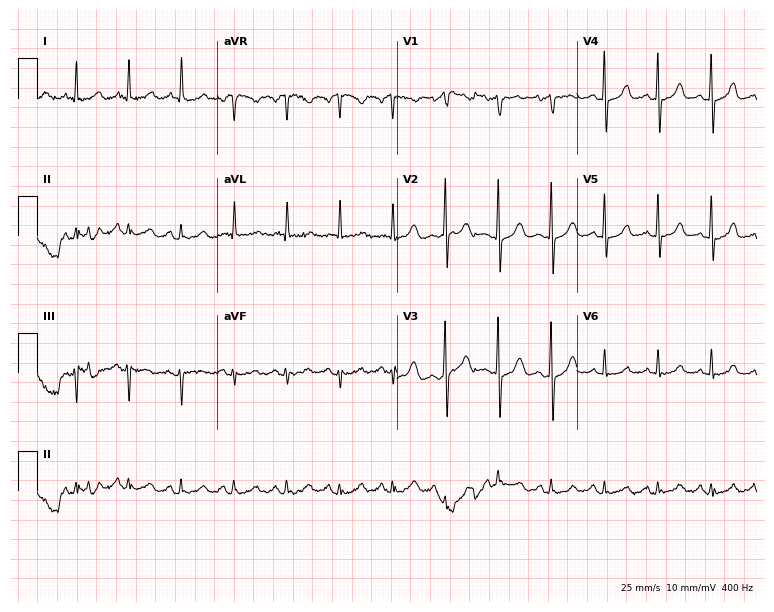
Resting 12-lead electrocardiogram. Patient: a female, 73 years old. The tracing shows sinus tachycardia (a sinus rate of 100 beats per minute or more).